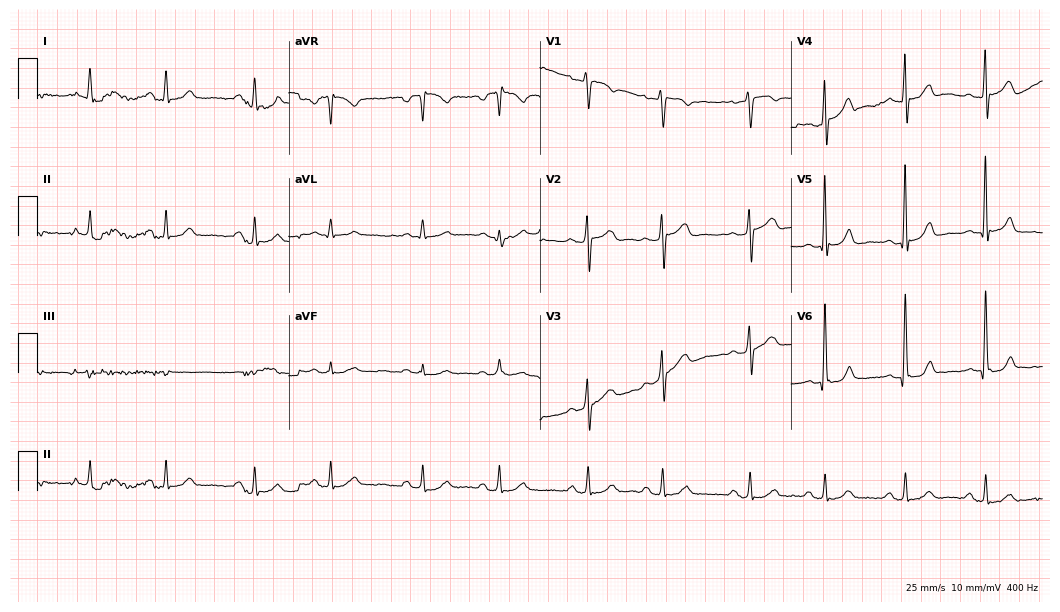
Resting 12-lead electrocardiogram (10.2-second recording at 400 Hz). Patient: a 59-year-old male. None of these six findings is recorded: first-degree AV block, right bundle branch block, left bundle branch block, sinus bradycardia, atrial fibrillation, sinus tachycardia. Only these six findings were labelled.